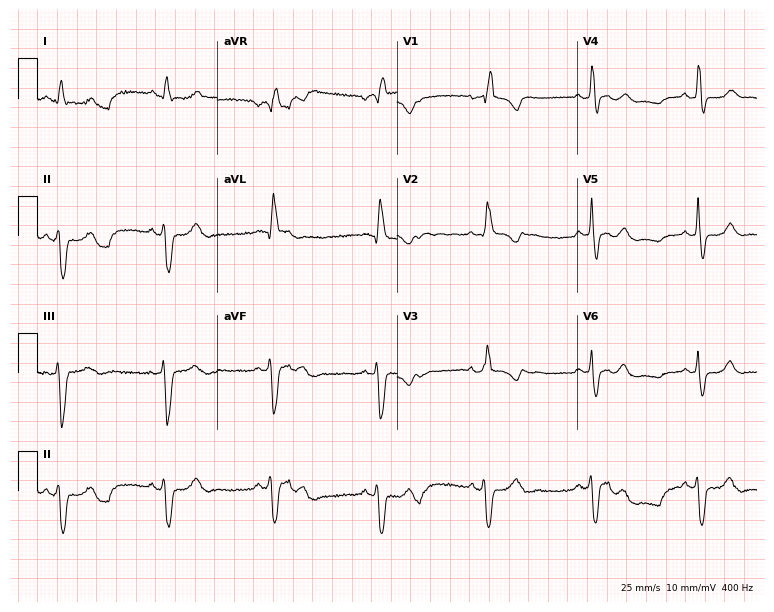
12-lead ECG (7.3-second recording at 400 Hz) from a 60-year-old male patient. Findings include right bundle branch block.